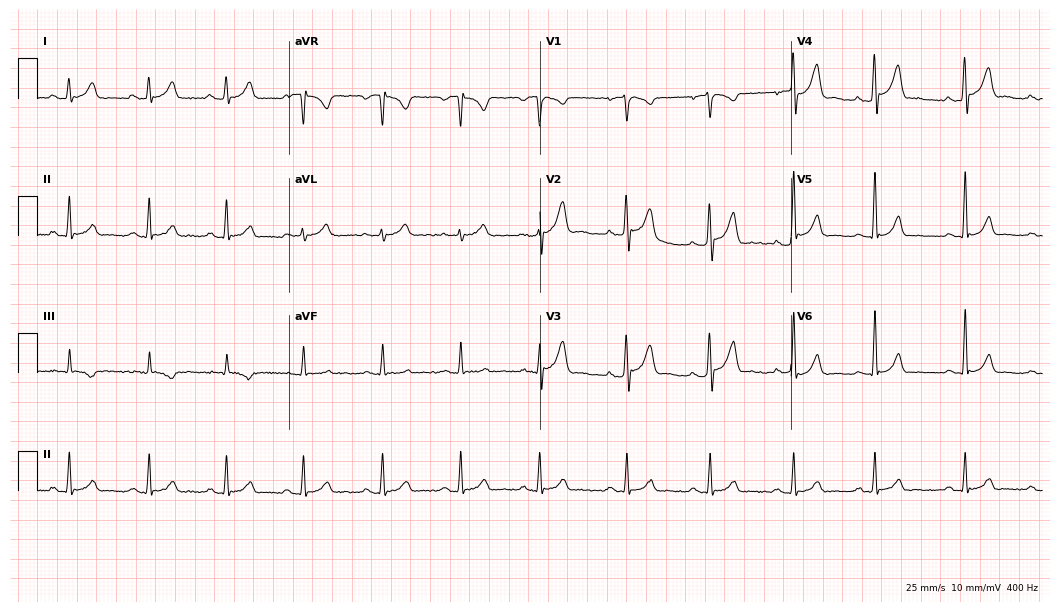
Standard 12-lead ECG recorded from a male, 32 years old. Read as a normal ECG.